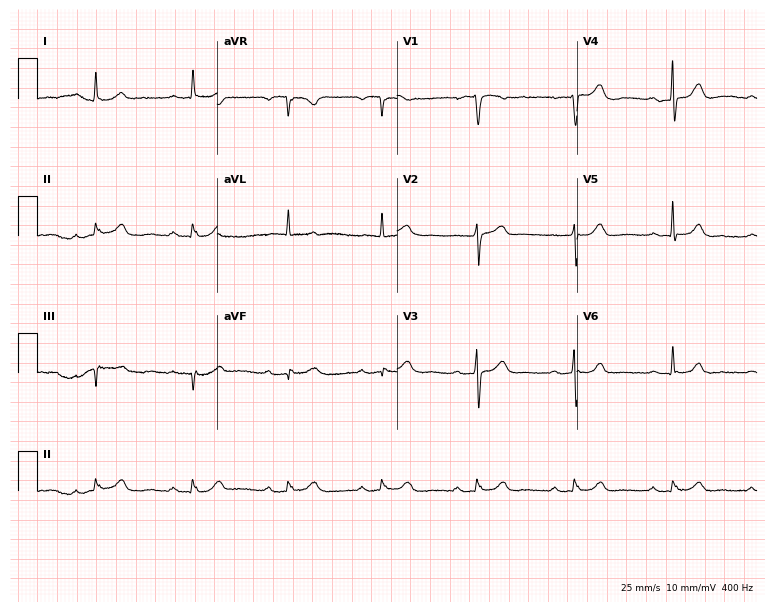
12-lead ECG (7.3-second recording at 400 Hz) from a 65-year-old man. Labelled as a normal ECG.